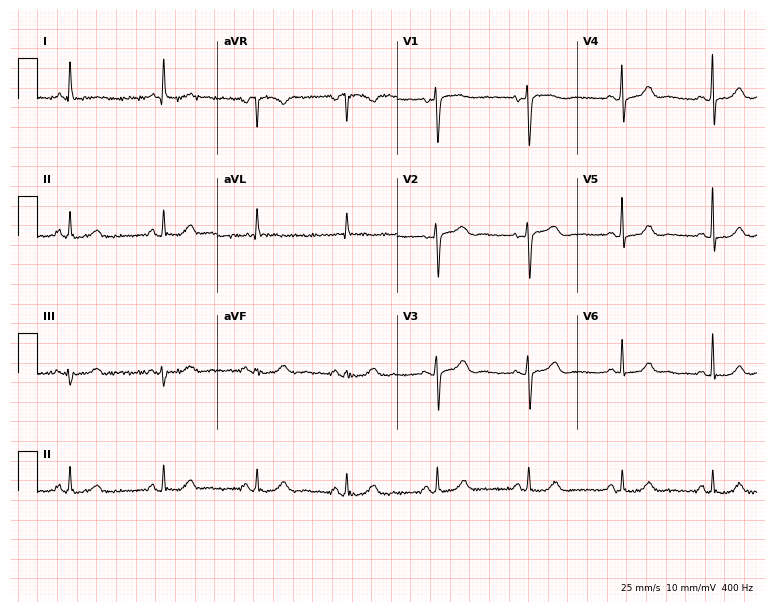
Standard 12-lead ECG recorded from a female patient, 70 years old (7.3-second recording at 400 Hz). Read as a normal ECG.